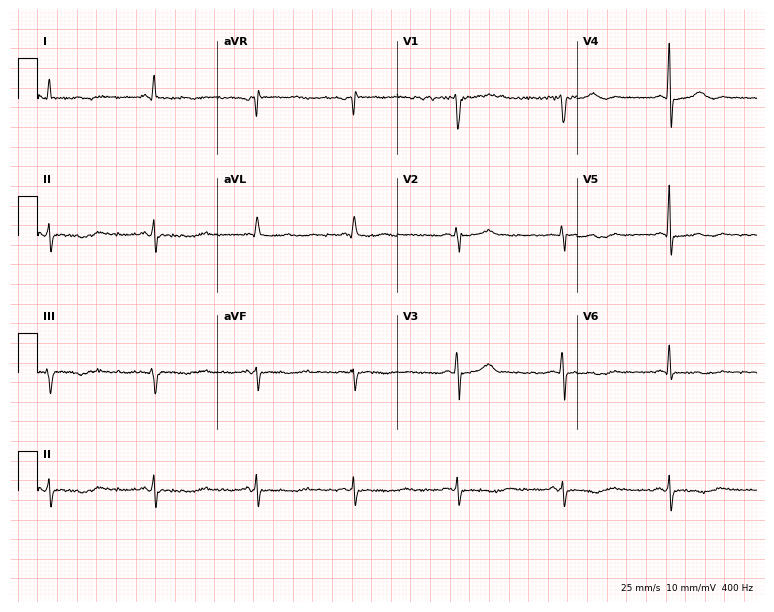
12-lead ECG (7.3-second recording at 400 Hz) from a woman, 44 years old. Screened for six findings — first-degree AV block, right bundle branch block (RBBB), left bundle branch block (LBBB), sinus bradycardia, atrial fibrillation (AF), sinus tachycardia — none is recorded.